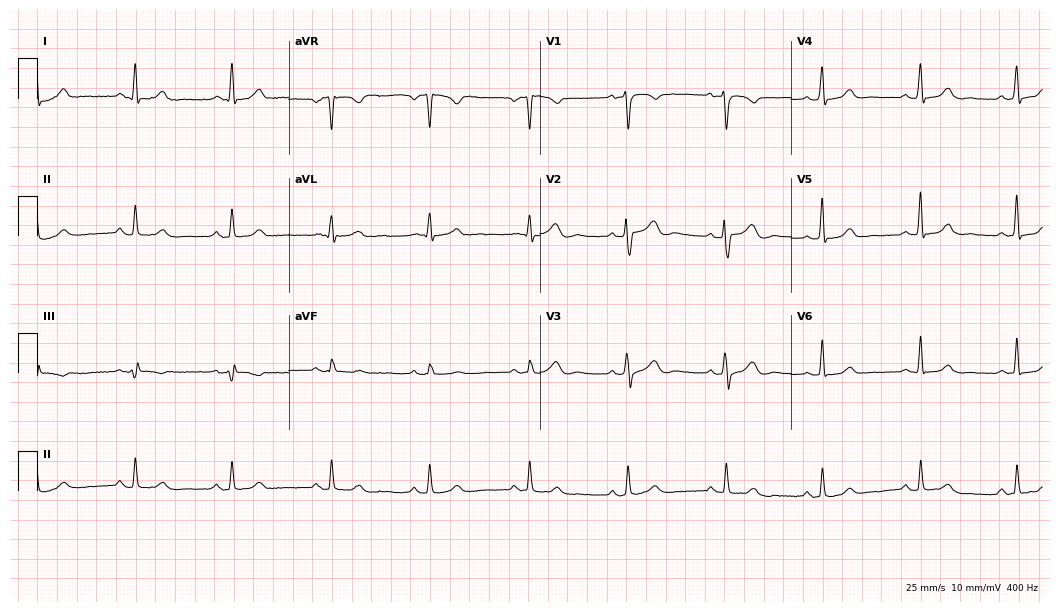
Resting 12-lead electrocardiogram. Patient: a 56-year-old female. Read as a normal ECG.